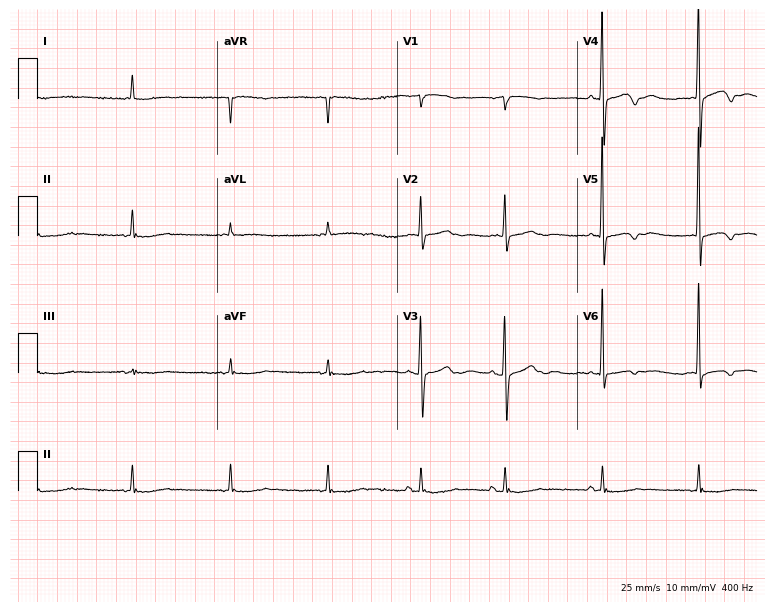
Standard 12-lead ECG recorded from a 79-year-old woman (7.3-second recording at 400 Hz). Read as a normal ECG.